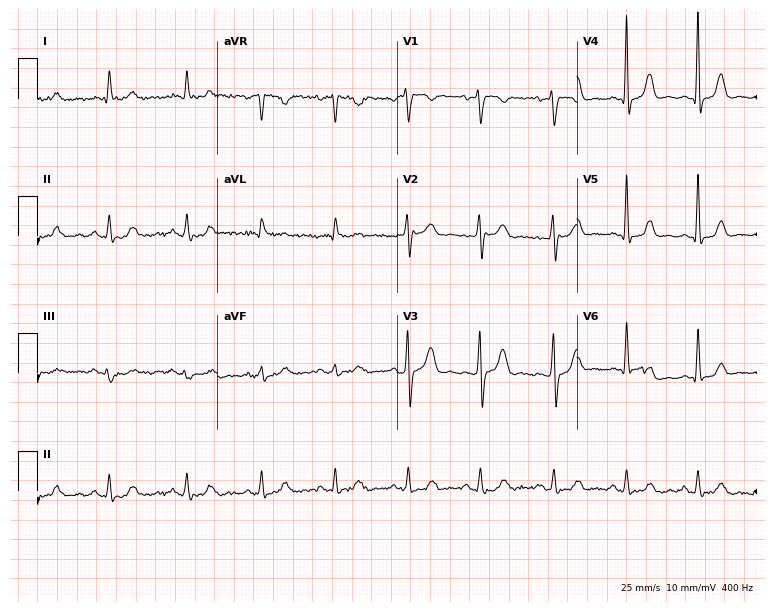
12-lead ECG from a 57-year-old woman. Screened for six findings — first-degree AV block, right bundle branch block (RBBB), left bundle branch block (LBBB), sinus bradycardia, atrial fibrillation (AF), sinus tachycardia — none is recorded. Other findings, if any, are not listed.